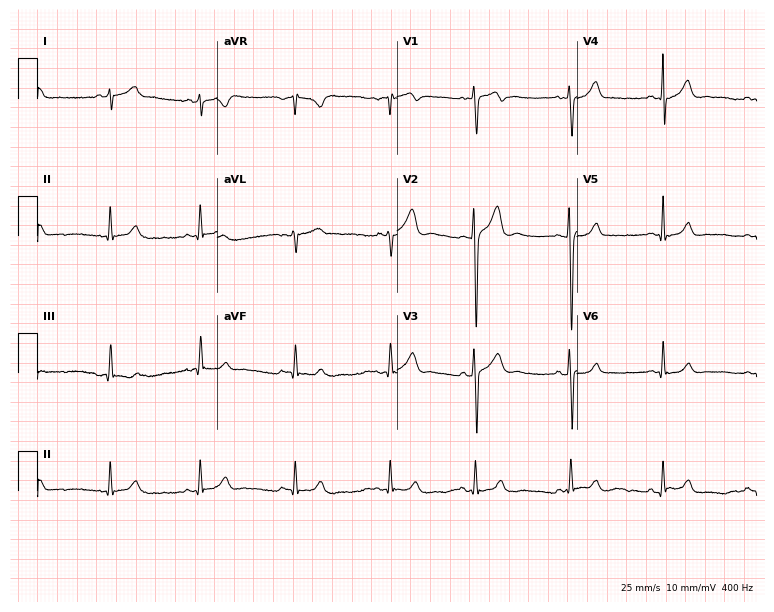
Electrocardiogram, a 21-year-old male patient. Overall reading on record: normal ECG.